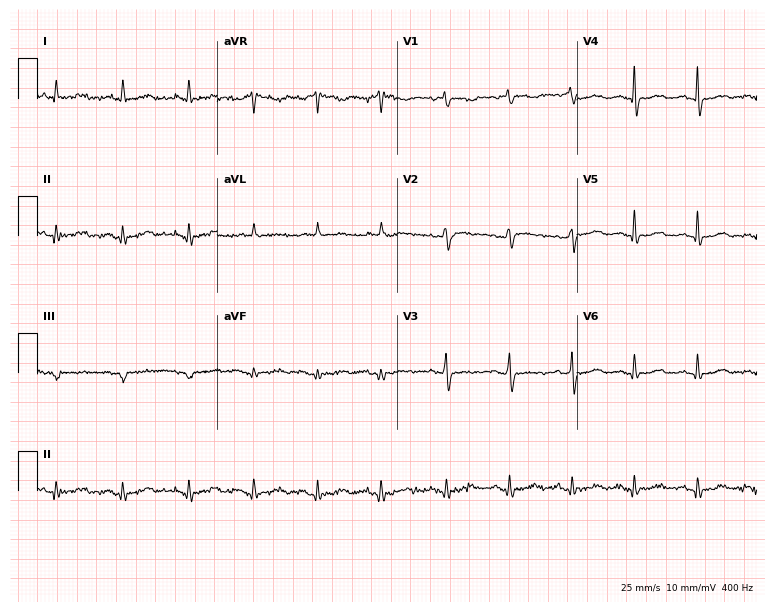
12-lead ECG from a man, 77 years old. No first-degree AV block, right bundle branch block, left bundle branch block, sinus bradycardia, atrial fibrillation or sinus tachycardia recorded for this tracing.